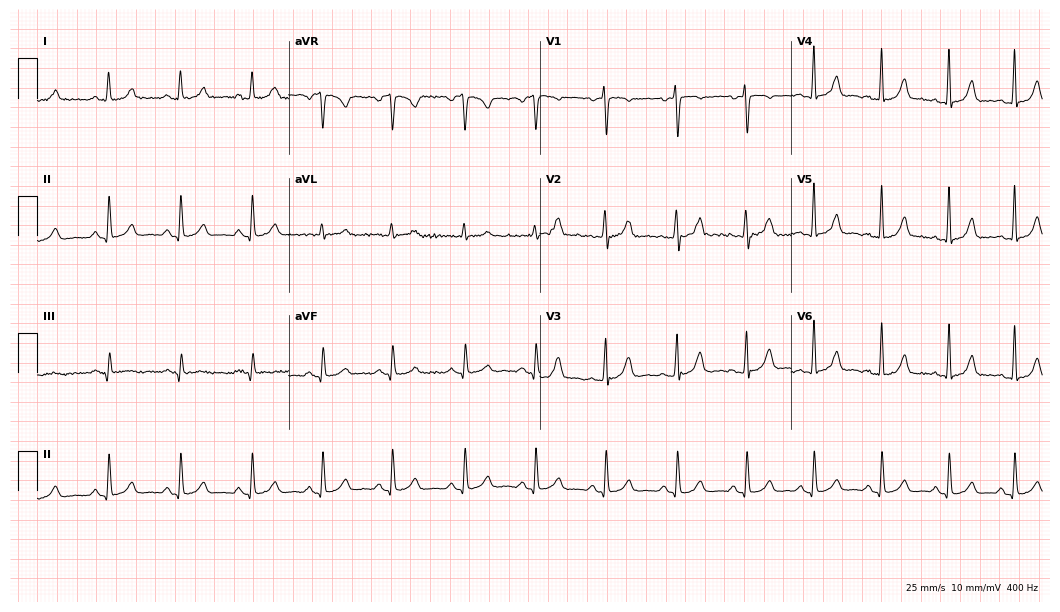
12-lead ECG from a female, 21 years old (10.2-second recording at 400 Hz). No first-degree AV block, right bundle branch block (RBBB), left bundle branch block (LBBB), sinus bradycardia, atrial fibrillation (AF) or sinus tachycardia recorded for this tracing. Only these six findings were labelled.